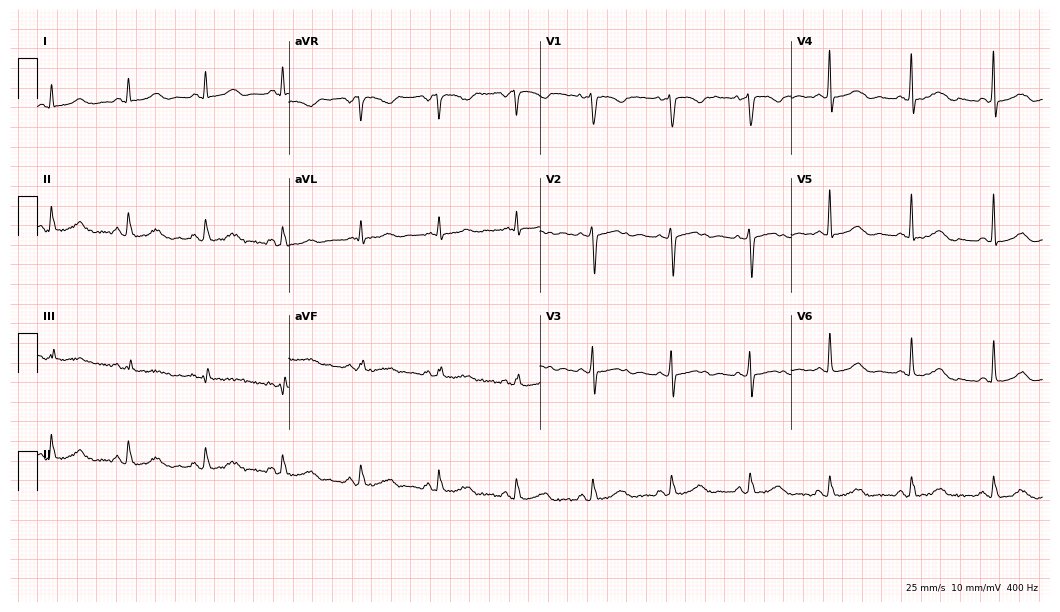
Standard 12-lead ECG recorded from a 46-year-old woman (10.2-second recording at 400 Hz). Read as a normal ECG.